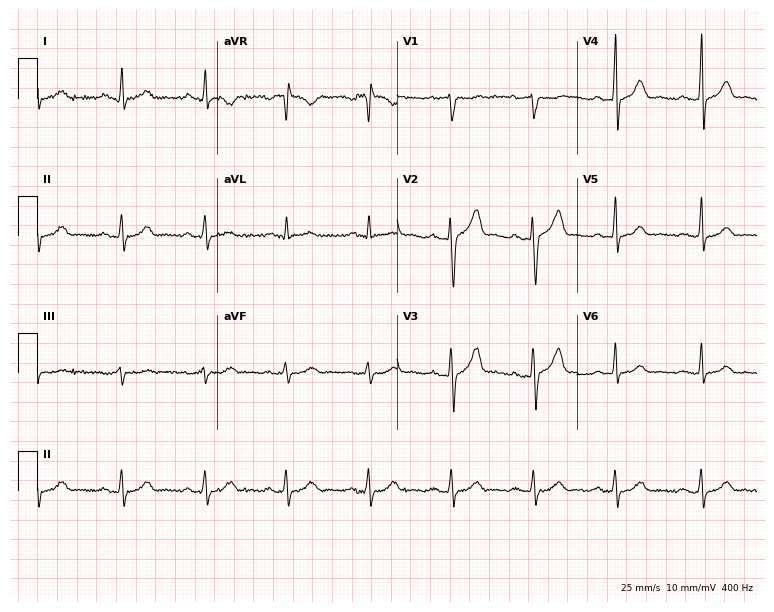
Resting 12-lead electrocardiogram (7.3-second recording at 400 Hz). Patient: a man, 38 years old. The tracing shows first-degree AV block.